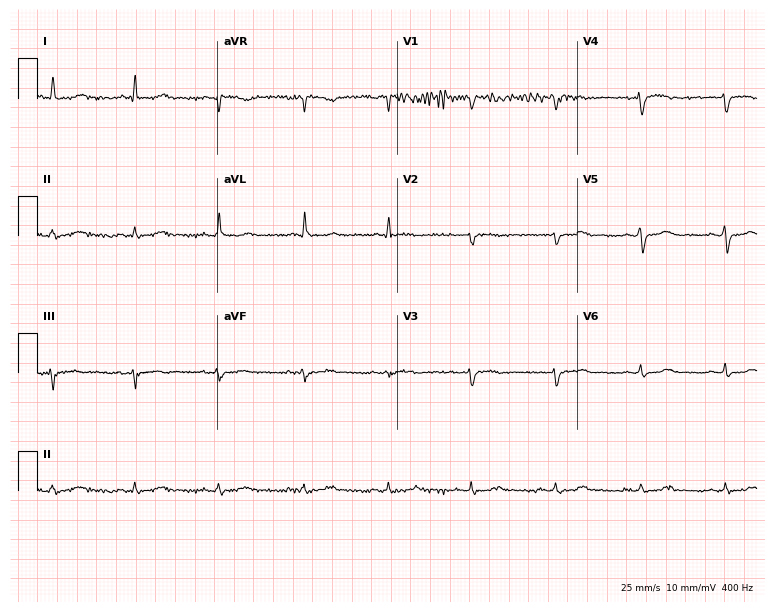
Resting 12-lead electrocardiogram. Patient: a female, 70 years old. None of these six findings is recorded: first-degree AV block, right bundle branch block, left bundle branch block, sinus bradycardia, atrial fibrillation, sinus tachycardia. Other findings, if any, are not listed.